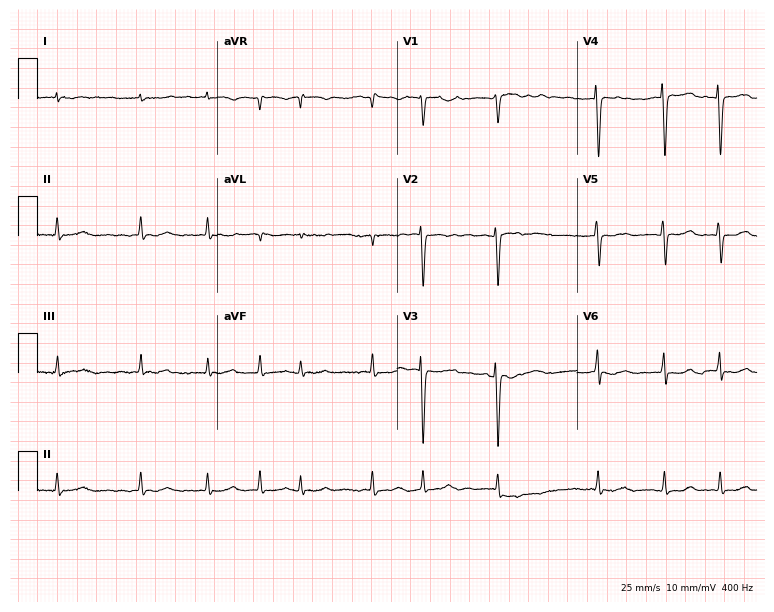
Resting 12-lead electrocardiogram. Patient: an 81-year-old woman. The tracing shows atrial fibrillation.